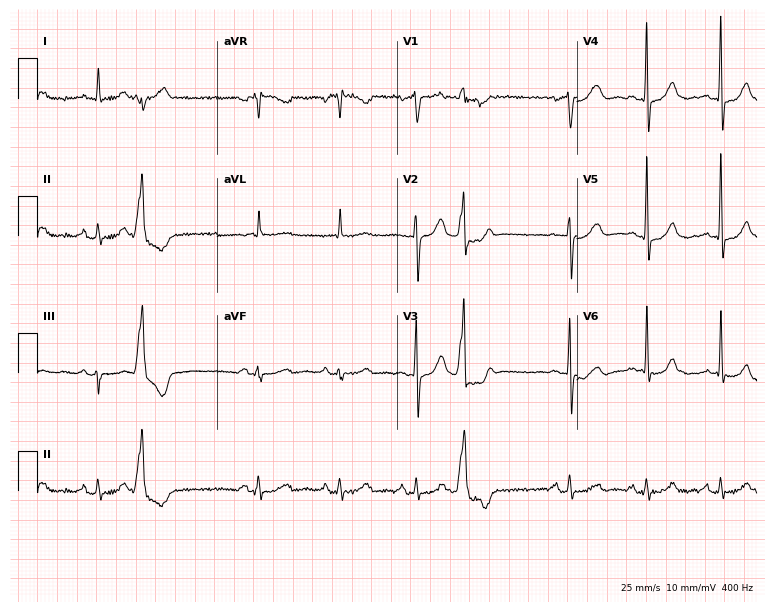
12-lead ECG from a 73-year-old male (7.3-second recording at 400 Hz). No first-degree AV block, right bundle branch block, left bundle branch block, sinus bradycardia, atrial fibrillation or sinus tachycardia recorded for this tracing.